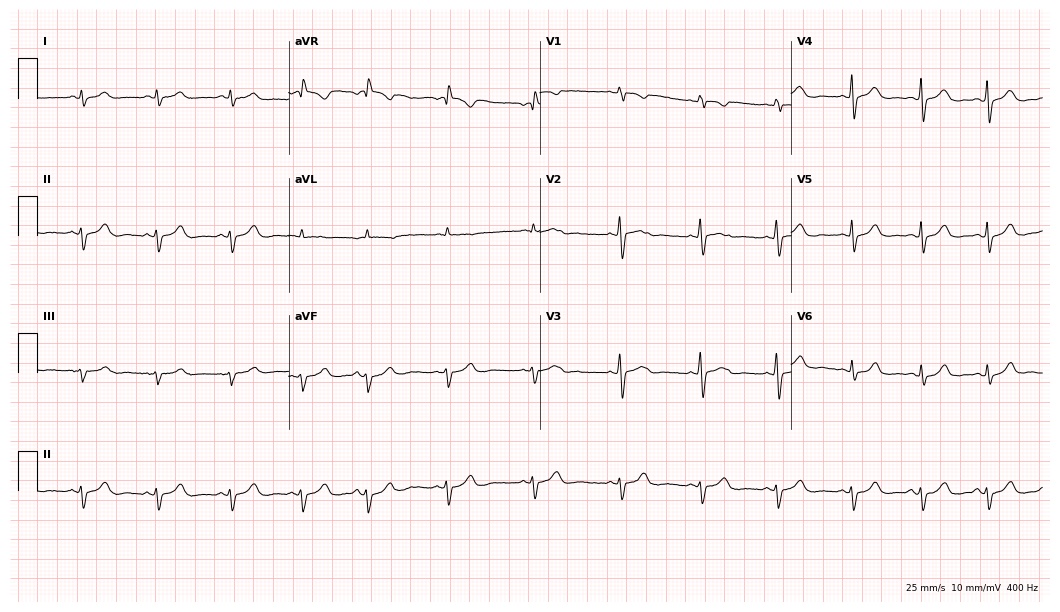
12-lead ECG from a female patient, 32 years old (10.2-second recording at 400 Hz). Recorded interpretation: within normal limits.